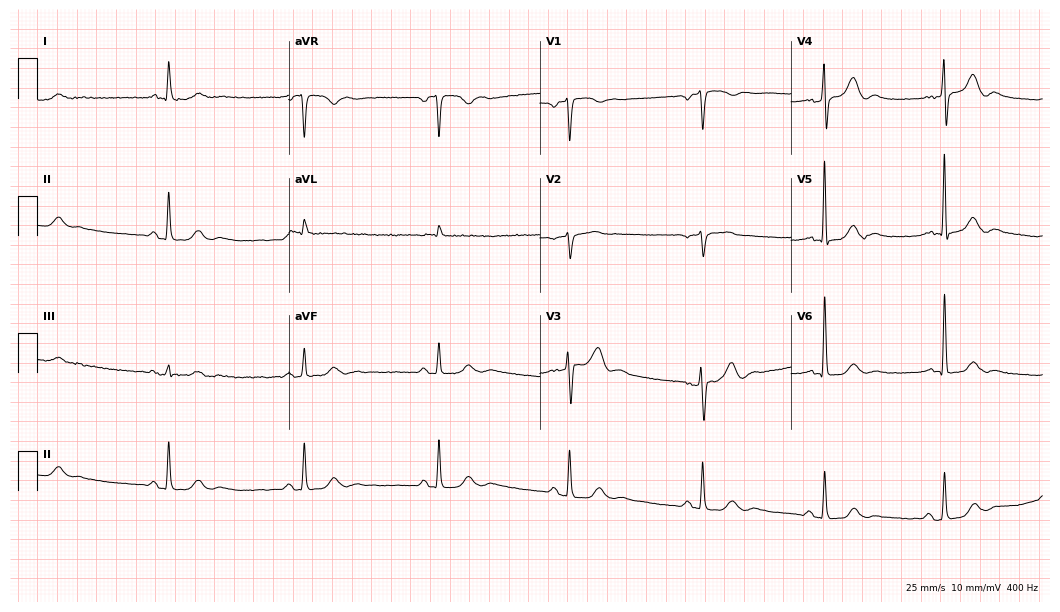
Electrocardiogram, a 76-year-old male patient. Interpretation includes sinus bradycardia (a sinus rate of 50 beats per minute or less).